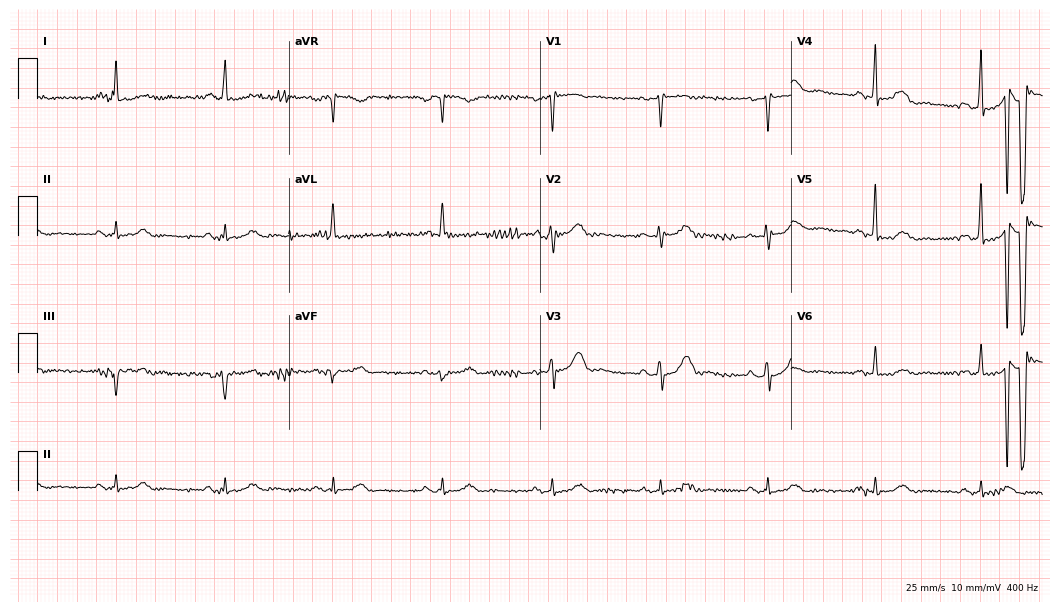
Standard 12-lead ECG recorded from a 73-year-old male (10.2-second recording at 400 Hz). Read as a normal ECG.